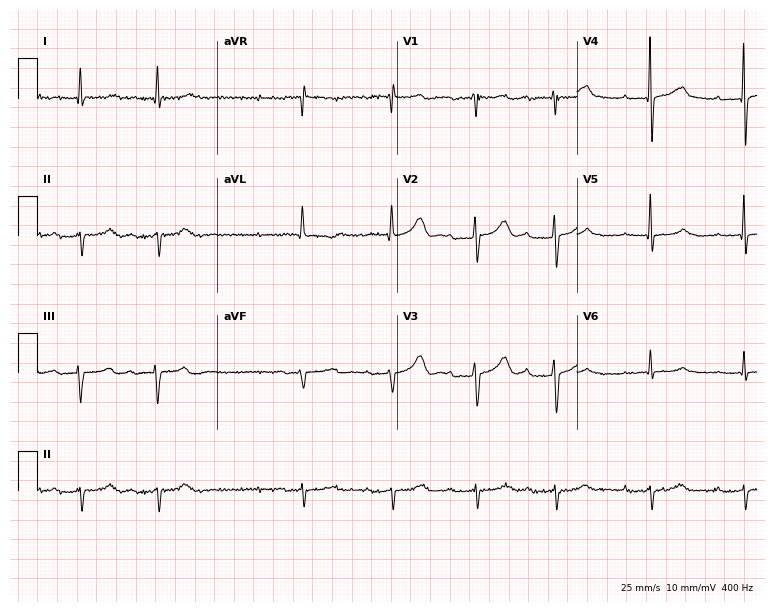
Electrocardiogram, a 78-year-old male. Of the six screened findings (first-degree AV block, right bundle branch block, left bundle branch block, sinus bradycardia, atrial fibrillation, sinus tachycardia), none is recorded.